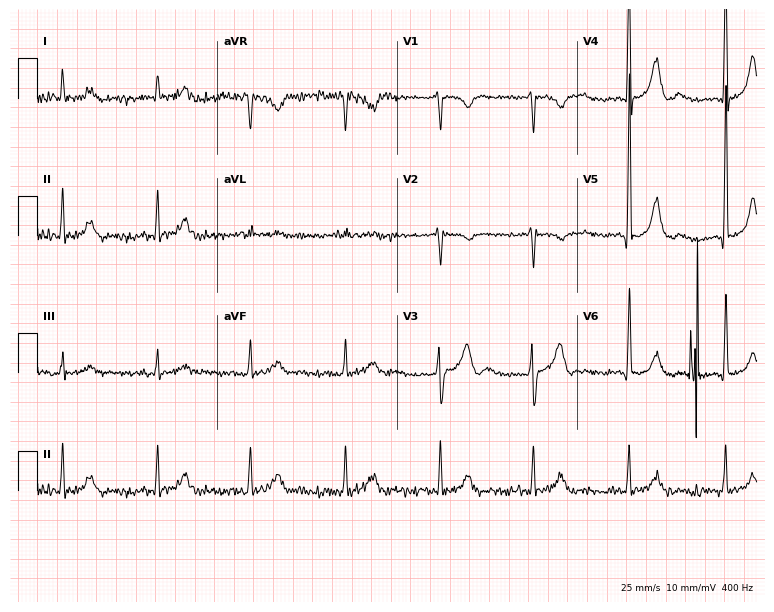
Resting 12-lead electrocardiogram. Patient: a 78-year-old male. None of these six findings is recorded: first-degree AV block, right bundle branch block, left bundle branch block, sinus bradycardia, atrial fibrillation, sinus tachycardia. Other findings, if any, are not listed.